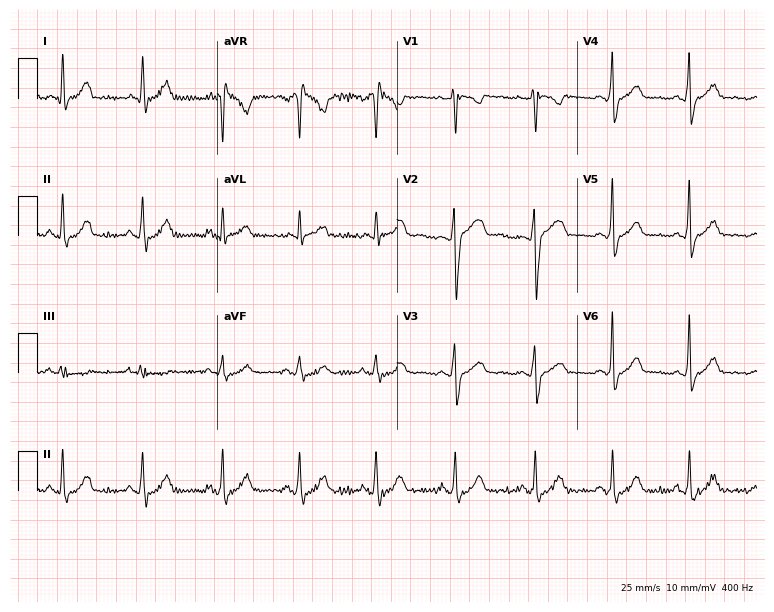
12-lead ECG from a 43-year-old female patient. Labelled as a normal ECG.